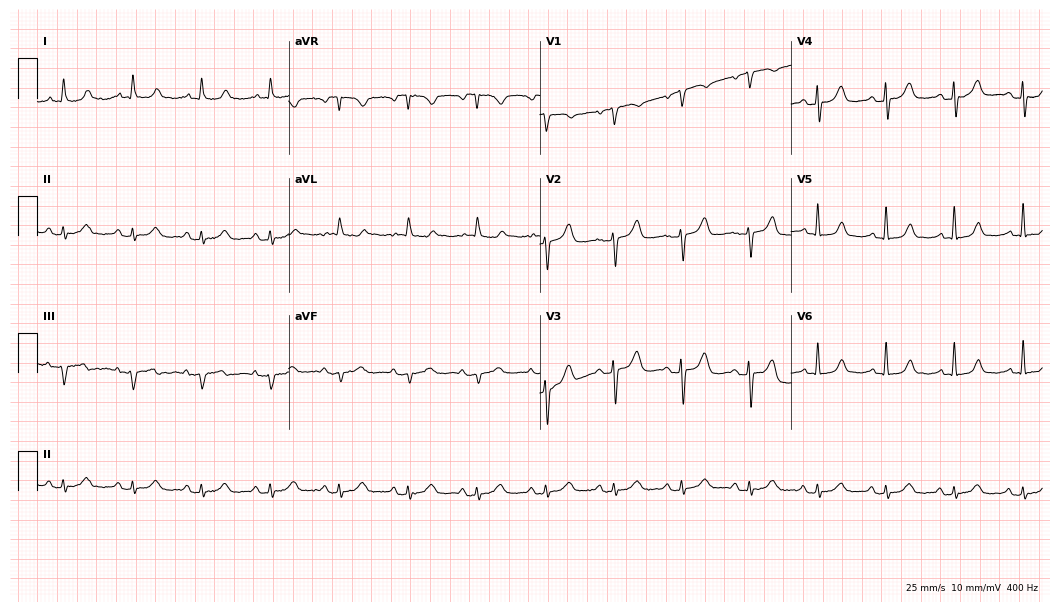
12-lead ECG from a 76-year-old female. Recorded interpretation: within normal limits.